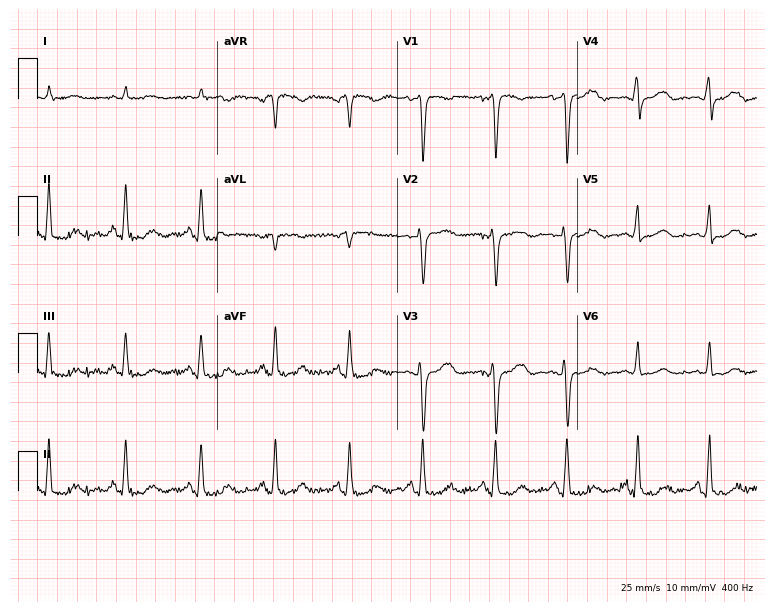
ECG — a 61-year-old male patient. Screened for six findings — first-degree AV block, right bundle branch block, left bundle branch block, sinus bradycardia, atrial fibrillation, sinus tachycardia — none is recorded. Other findings, if any, are not listed.